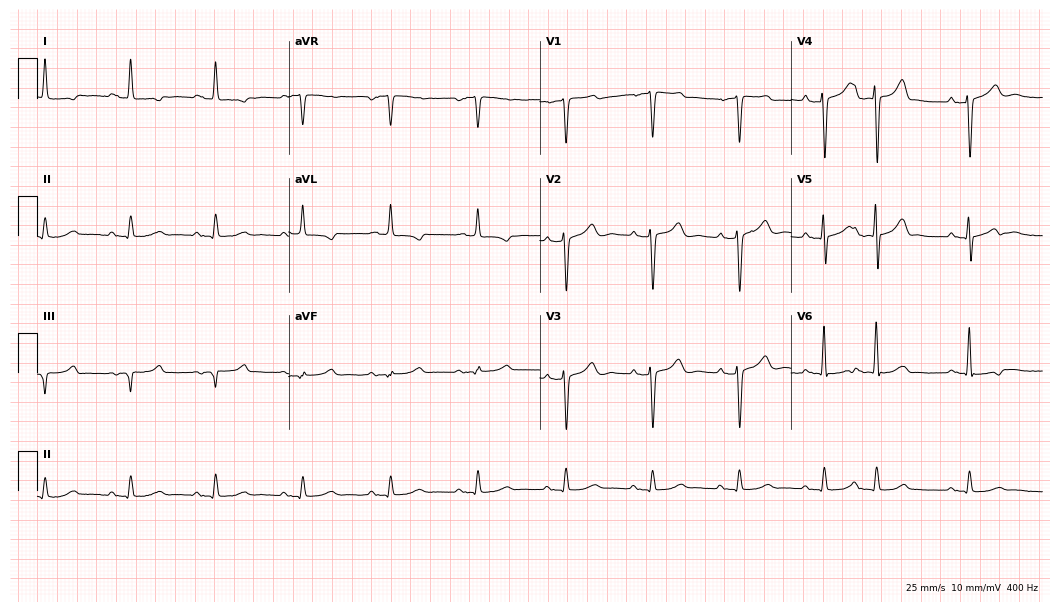
12-lead ECG from a female, 75 years old. Screened for six findings — first-degree AV block, right bundle branch block, left bundle branch block, sinus bradycardia, atrial fibrillation, sinus tachycardia — none is recorded. Findings outside these six are not listed.